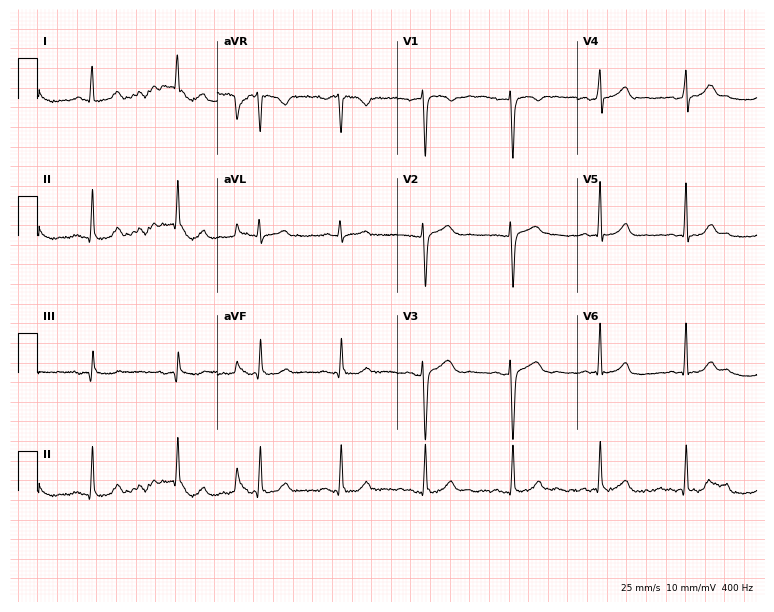
ECG — a woman, 22 years old. Labelled as a normal ECG.